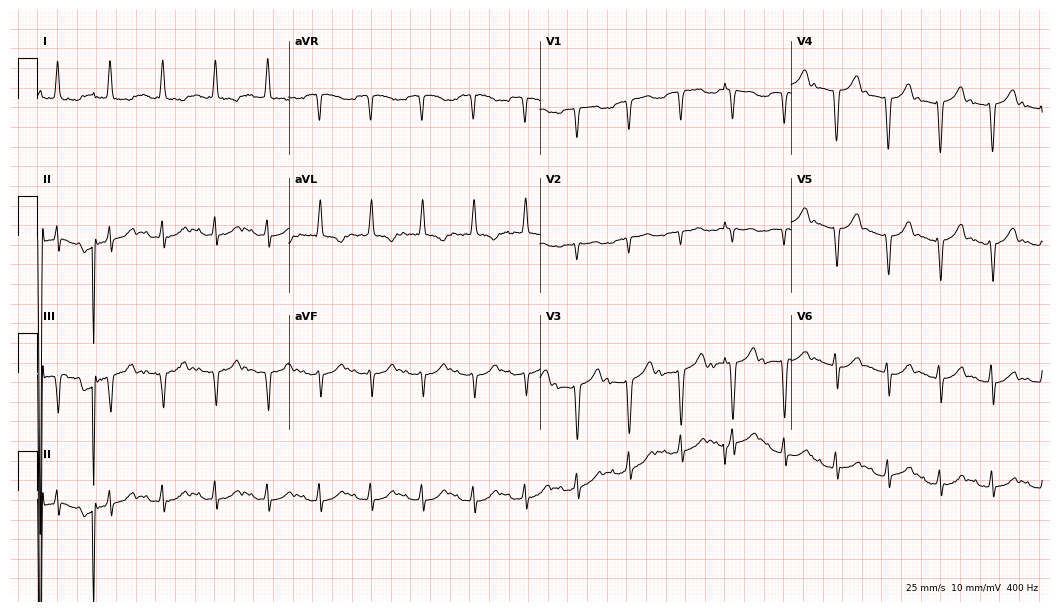
Standard 12-lead ECG recorded from a female patient, 80 years old (10.2-second recording at 400 Hz). None of these six findings is recorded: first-degree AV block, right bundle branch block, left bundle branch block, sinus bradycardia, atrial fibrillation, sinus tachycardia.